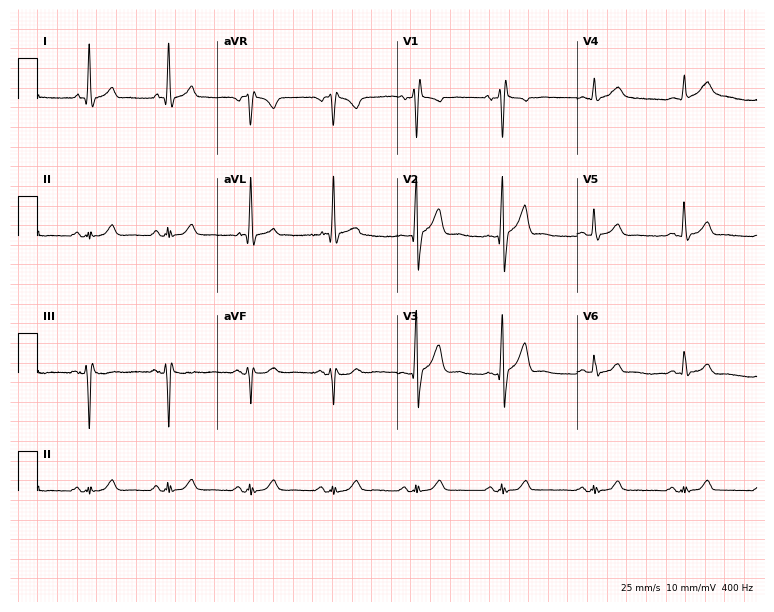
Resting 12-lead electrocardiogram (7.3-second recording at 400 Hz). Patient: a male, 66 years old. None of these six findings is recorded: first-degree AV block, right bundle branch block, left bundle branch block, sinus bradycardia, atrial fibrillation, sinus tachycardia.